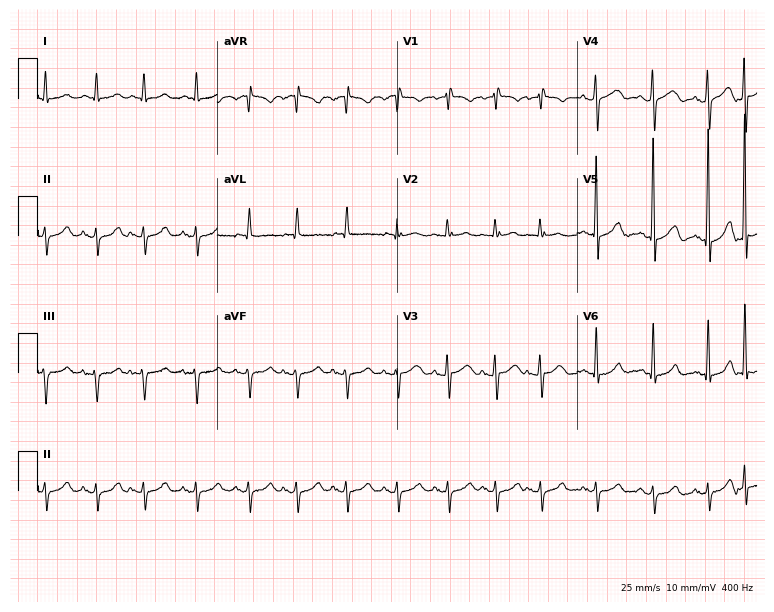
Standard 12-lead ECG recorded from a 75-year-old female patient (7.3-second recording at 400 Hz). None of these six findings is recorded: first-degree AV block, right bundle branch block, left bundle branch block, sinus bradycardia, atrial fibrillation, sinus tachycardia. Only these six findings were labelled.